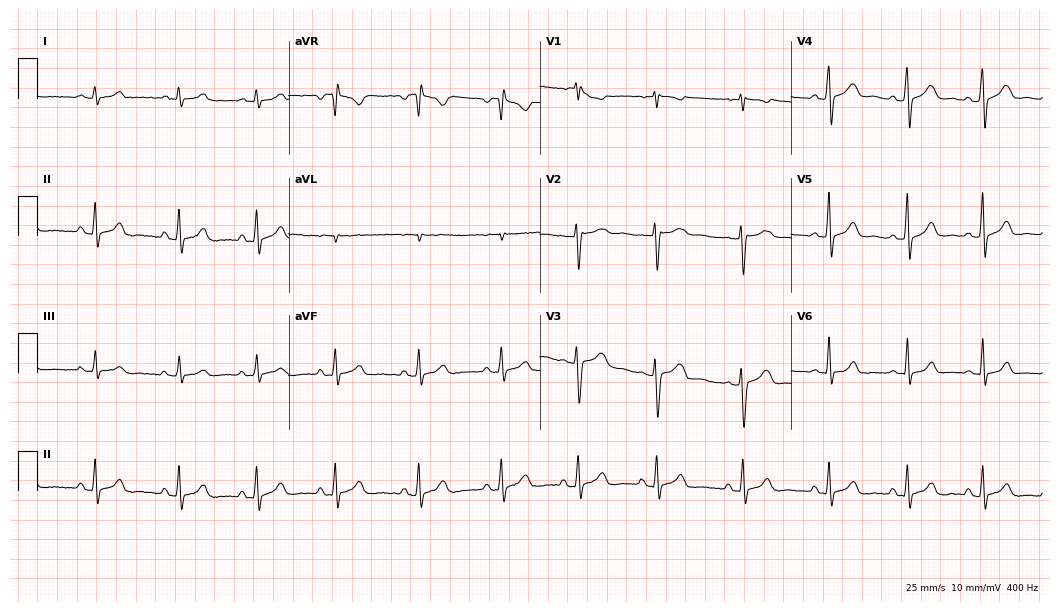
ECG (10.2-second recording at 400 Hz) — an 18-year-old woman. Screened for six findings — first-degree AV block, right bundle branch block, left bundle branch block, sinus bradycardia, atrial fibrillation, sinus tachycardia — none is recorded.